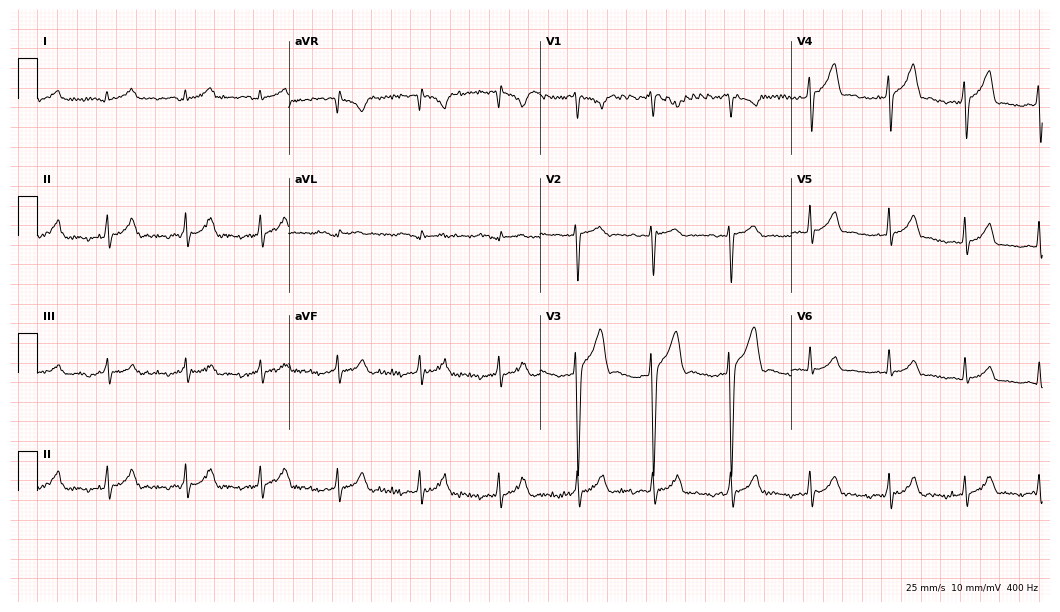
12-lead ECG (10.2-second recording at 400 Hz) from a 19-year-old man. Screened for six findings — first-degree AV block, right bundle branch block (RBBB), left bundle branch block (LBBB), sinus bradycardia, atrial fibrillation (AF), sinus tachycardia — none is recorded. Other findings, if any, are not listed.